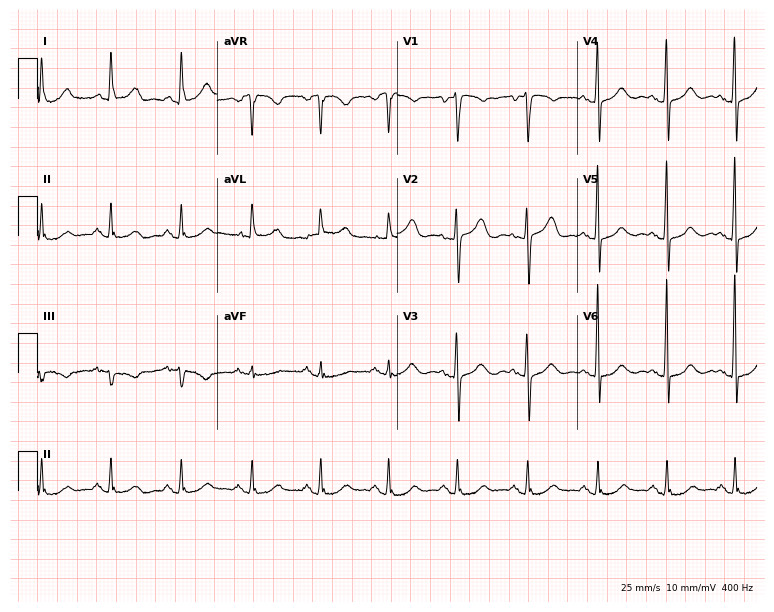
Electrocardiogram, a 70-year-old woman. Of the six screened findings (first-degree AV block, right bundle branch block (RBBB), left bundle branch block (LBBB), sinus bradycardia, atrial fibrillation (AF), sinus tachycardia), none is recorded.